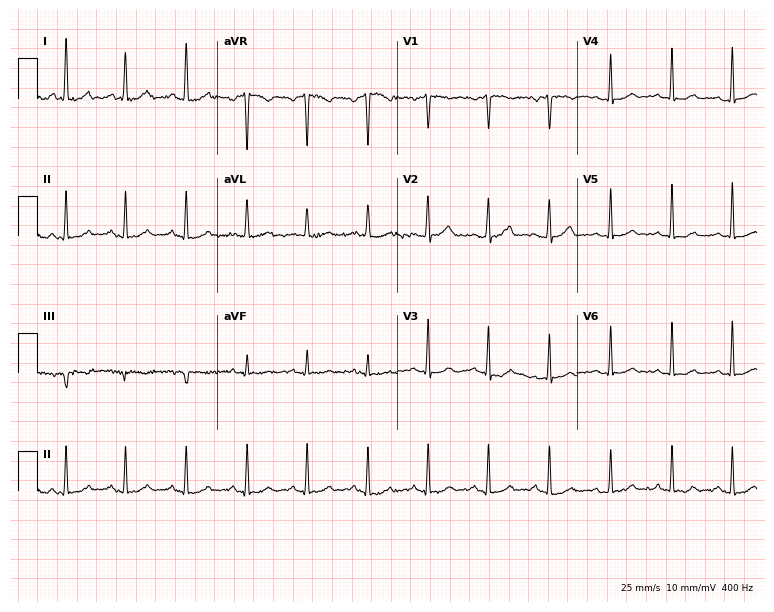
12-lead ECG (7.3-second recording at 400 Hz) from a 79-year-old female. Screened for six findings — first-degree AV block, right bundle branch block, left bundle branch block, sinus bradycardia, atrial fibrillation, sinus tachycardia — none is recorded. Other findings, if any, are not listed.